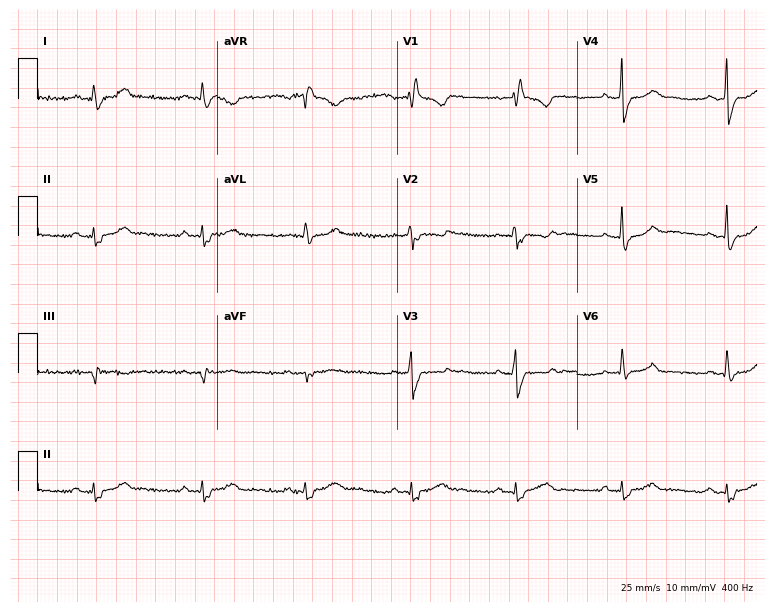
Resting 12-lead electrocardiogram. Patient: a man, 48 years old. The tracing shows right bundle branch block.